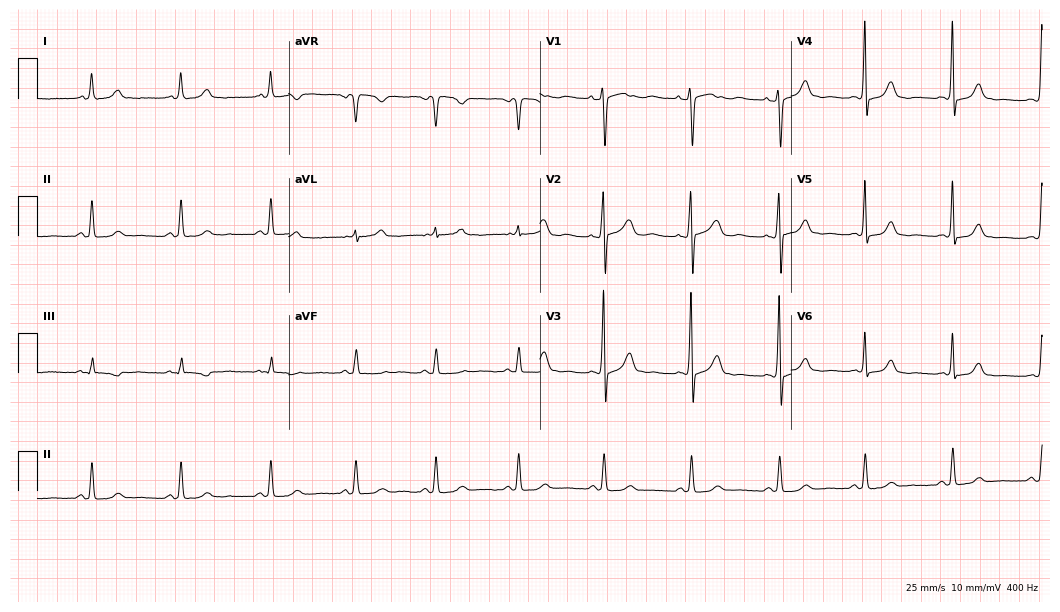
Standard 12-lead ECG recorded from a 24-year-old female. None of these six findings is recorded: first-degree AV block, right bundle branch block, left bundle branch block, sinus bradycardia, atrial fibrillation, sinus tachycardia.